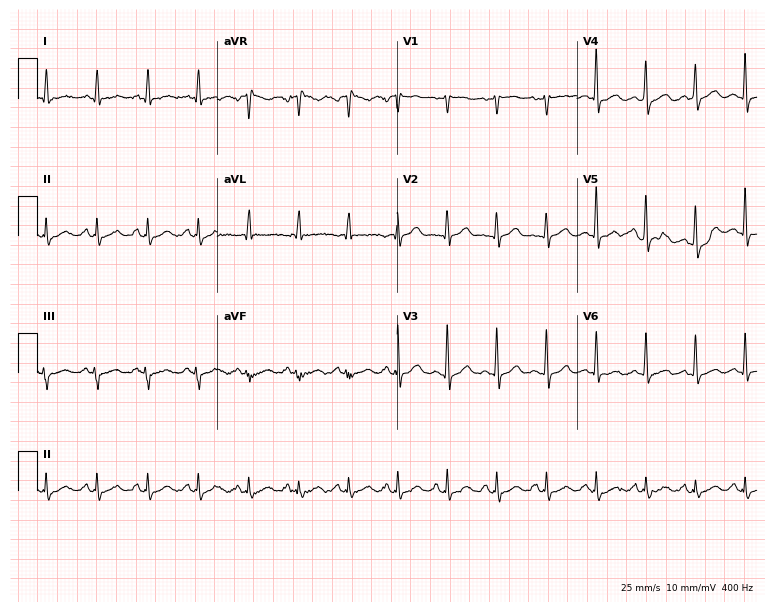
Standard 12-lead ECG recorded from a male patient, 84 years old. The tracing shows sinus tachycardia (a sinus rate of 100 beats per minute or more).